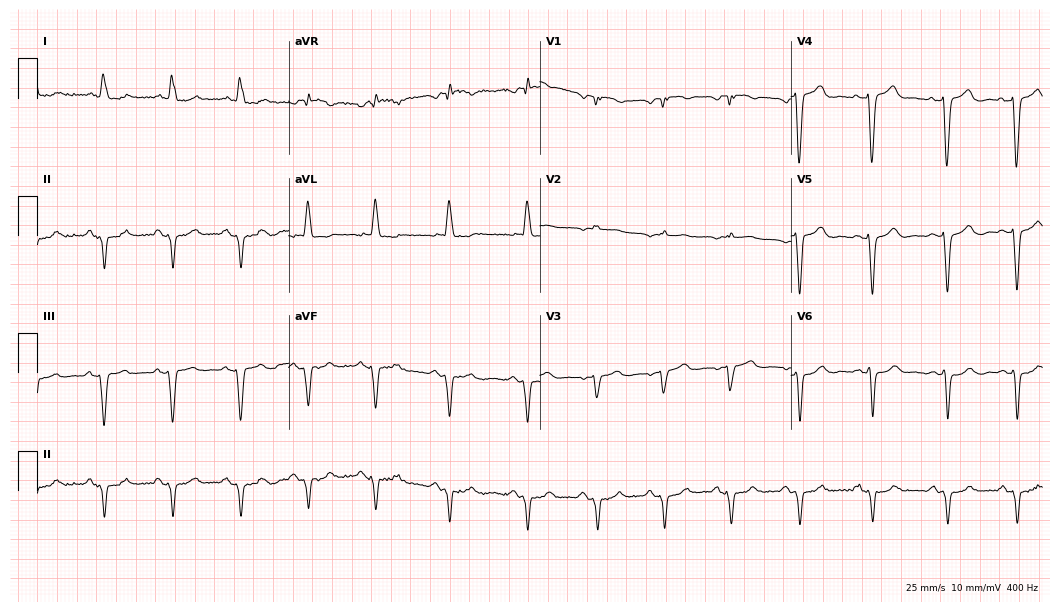
12-lead ECG from a female, 85 years old (10.2-second recording at 400 Hz). No first-degree AV block, right bundle branch block (RBBB), left bundle branch block (LBBB), sinus bradycardia, atrial fibrillation (AF) or sinus tachycardia recorded for this tracing.